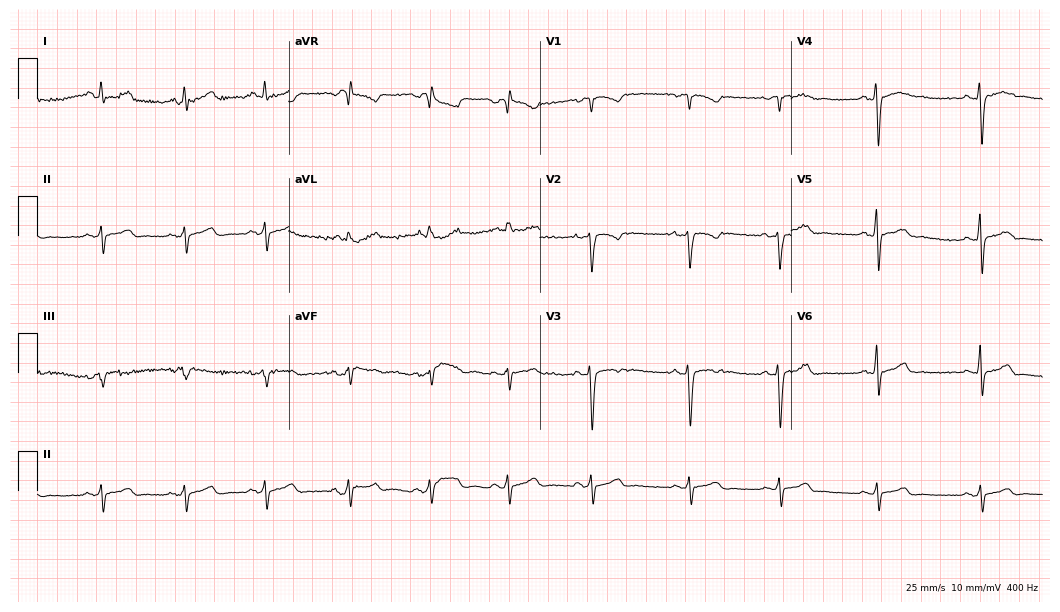
Standard 12-lead ECG recorded from a 20-year-old female patient. None of these six findings is recorded: first-degree AV block, right bundle branch block, left bundle branch block, sinus bradycardia, atrial fibrillation, sinus tachycardia. Findings outside these six are not listed.